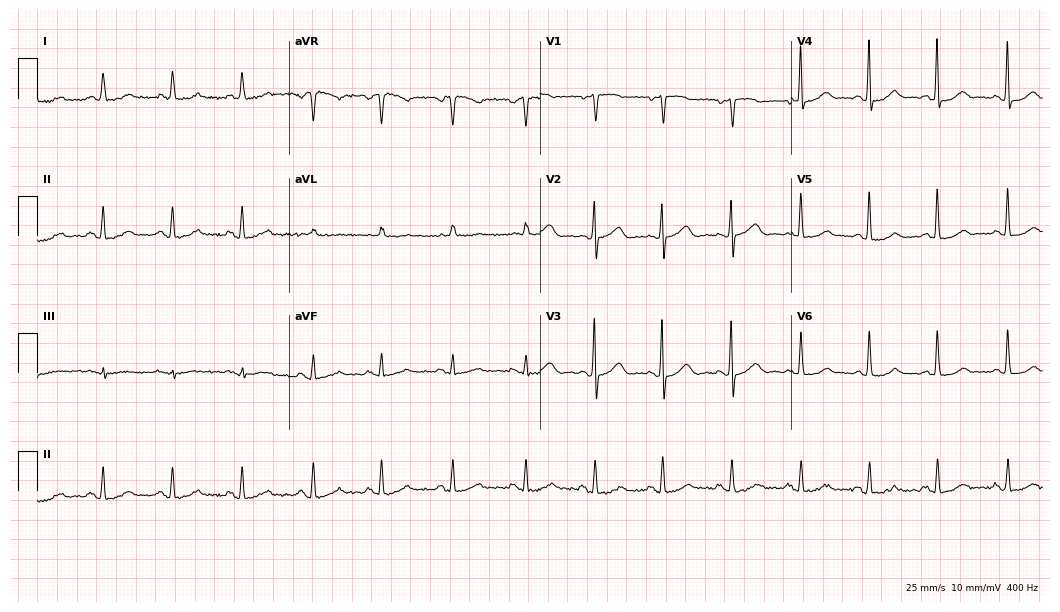
12-lead ECG from a female patient, 64 years old (10.2-second recording at 400 Hz). Recorded interpretation: within normal limits.